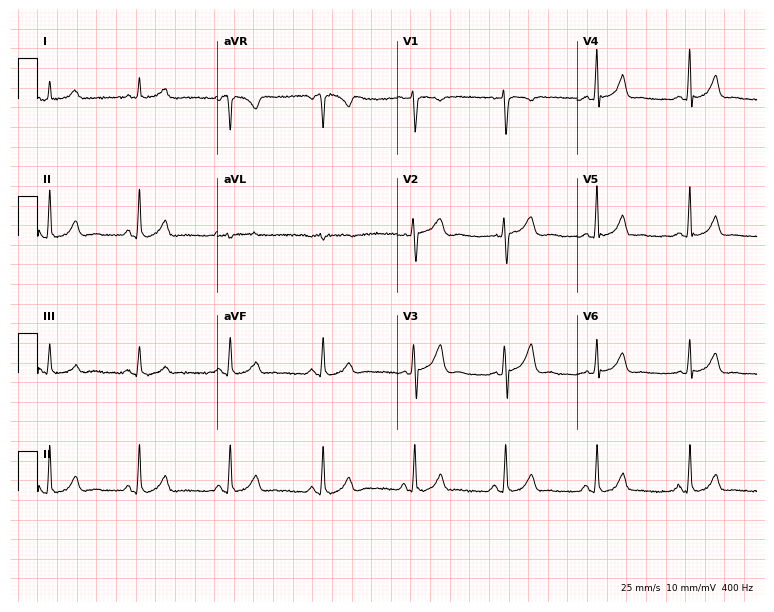
Standard 12-lead ECG recorded from a 31-year-old female. Read as a normal ECG.